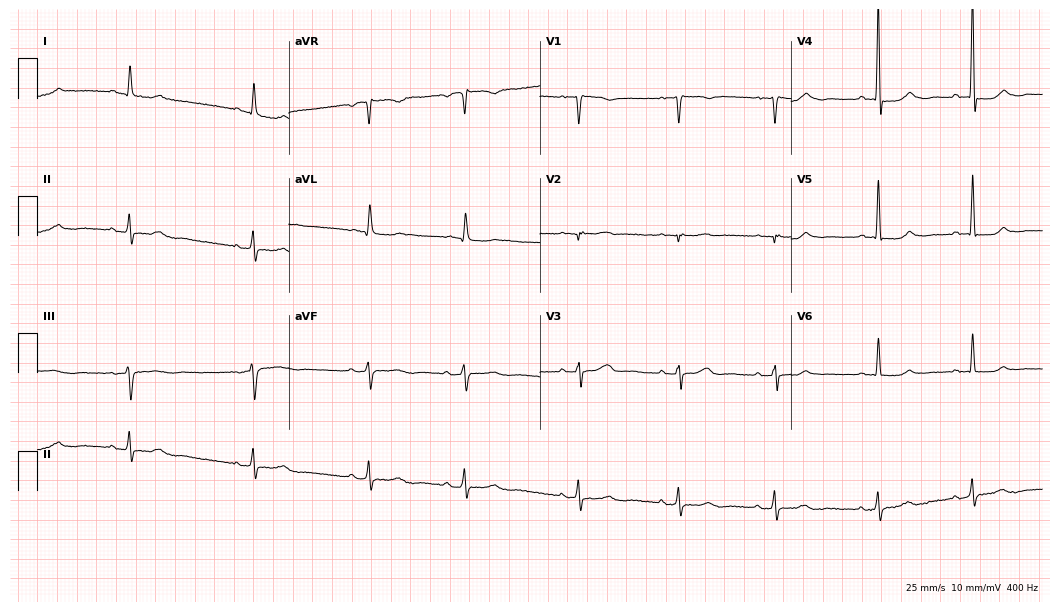
12-lead ECG (10.2-second recording at 400 Hz) from a female patient, 81 years old. Screened for six findings — first-degree AV block, right bundle branch block (RBBB), left bundle branch block (LBBB), sinus bradycardia, atrial fibrillation (AF), sinus tachycardia — none is recorded. Findings outside these six are not listed.